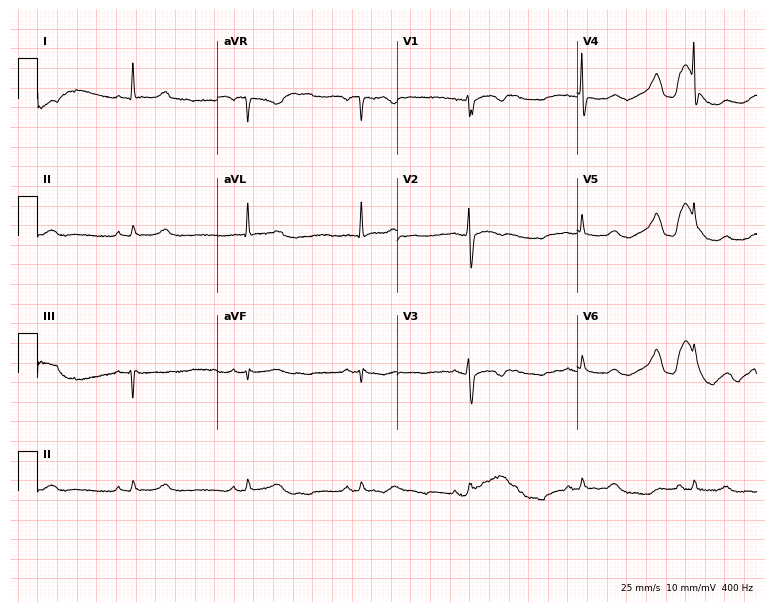
12-lead ECG (7.3-second recording at 400 Hz) from an 83-year-old woman. Labelled as a normal ECG.